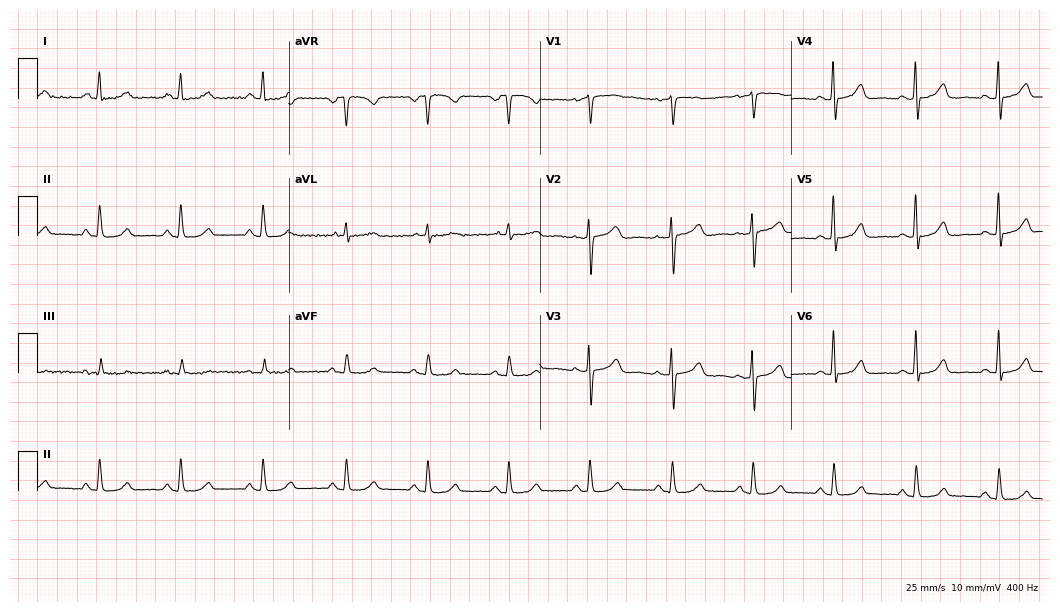
12-lead ECG from a female patient, 54 years old (10.2-second recording at 400 Hz). Recorded interpretation: within normal limits.